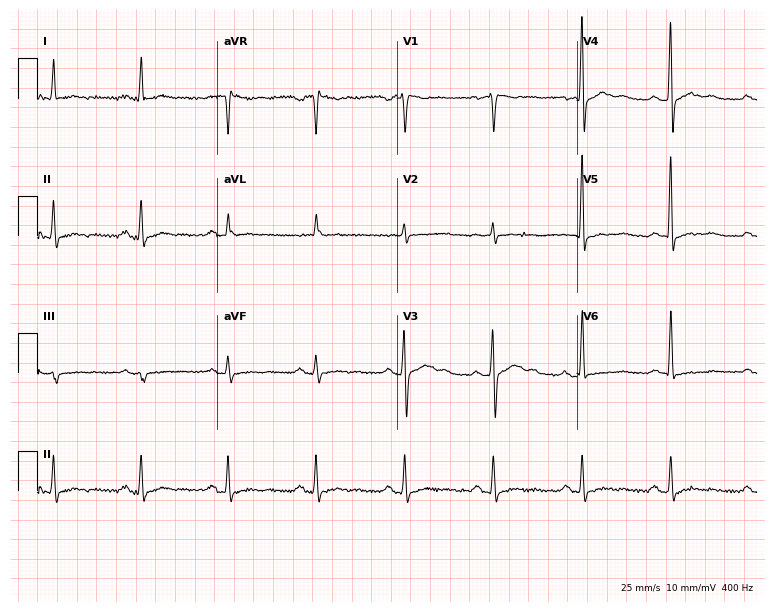
12-lead ECG from a male patient, 36 years old (7.3-second recording at 400 Hz). No first-degree AV block, right bundle branch block (RBBB), left bundle branch block (LBBB), sinus bradycardia, atrial fibrillation (AF) or sinus tachycardia recorded for this tracing. Only these six findings were labelled.